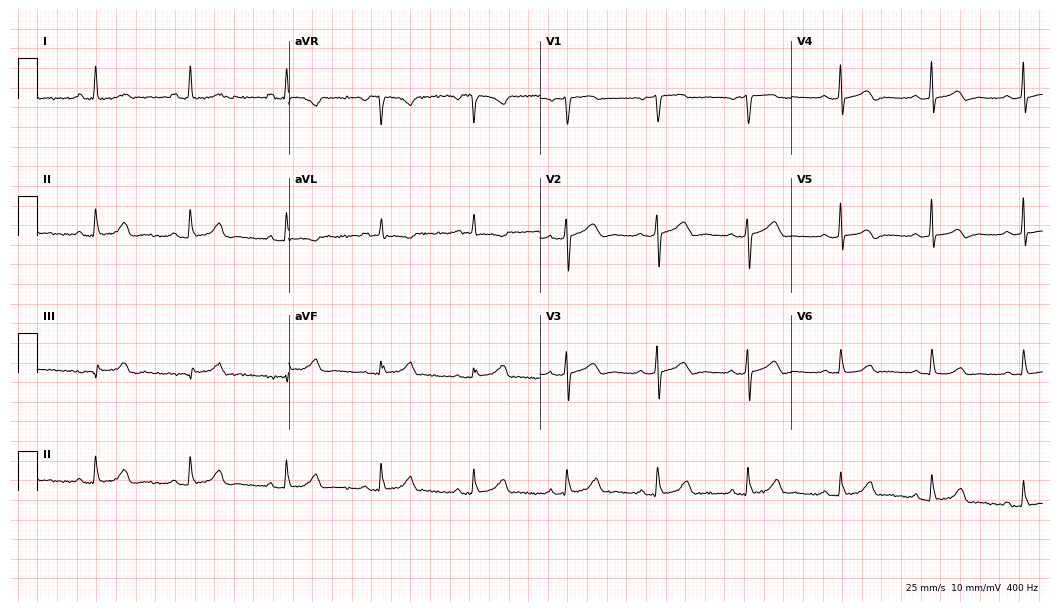
Standard 12-lead ECG recorded from a female patient, 66 years old. Read as a normal ECG.